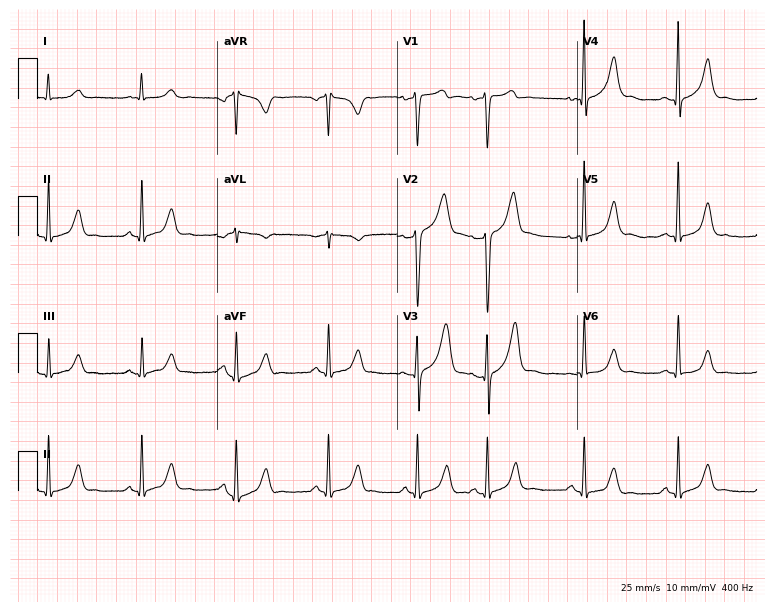
Standard 12-lead ECG recorded from a 35-year-old man. Read as a normal ECG.